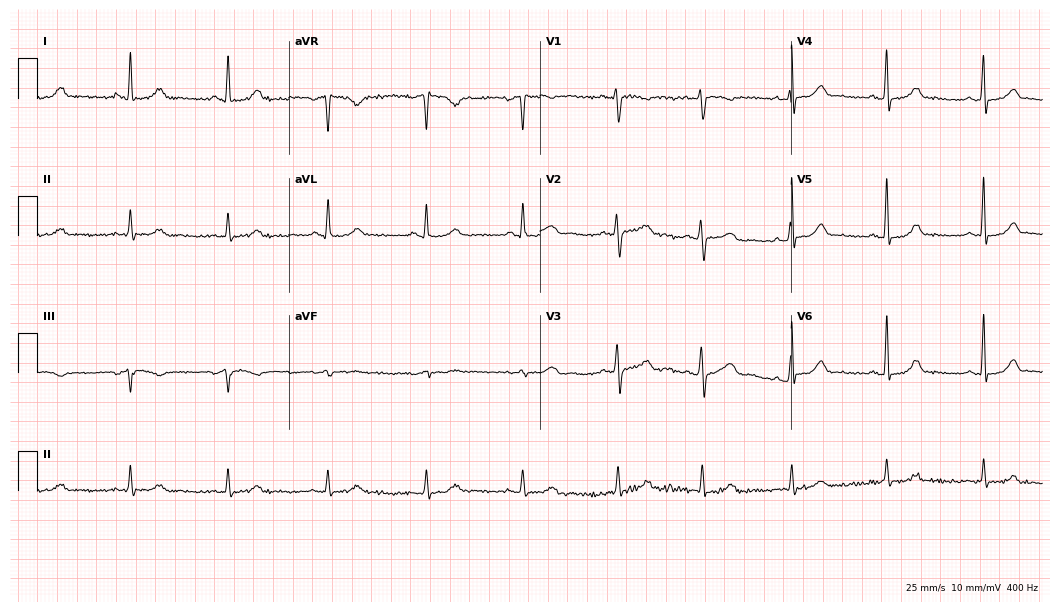
12-lead ECG from a female, 64 years old. Labelled as a normal ECG.